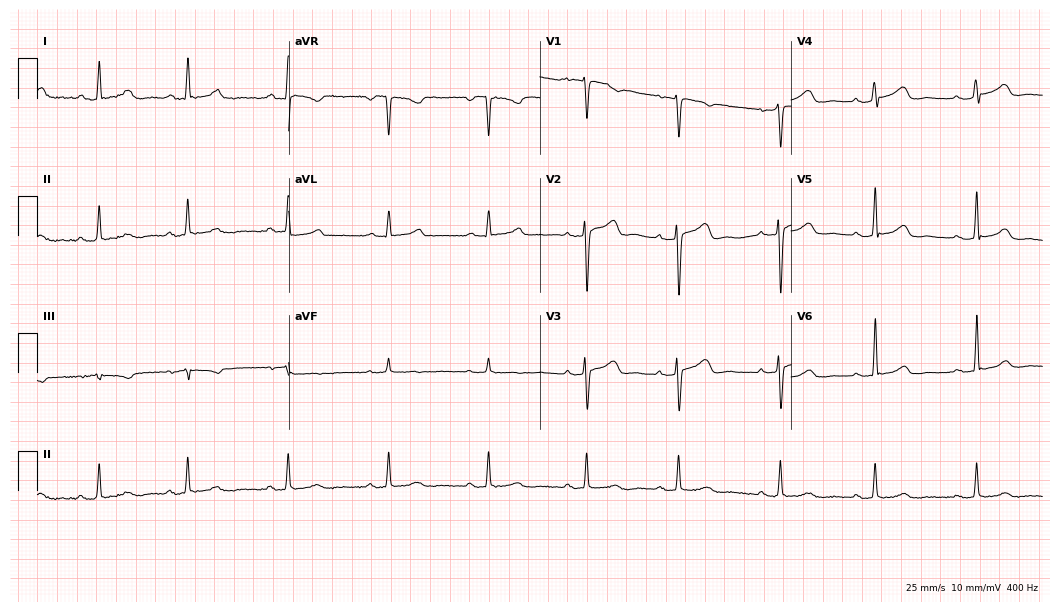
ECG (10.2-second recording at 400 Hz) — a female patient, 44 years old. Screened for six findings — first-degree AV block, right bundle branch block, left bundle branch block, sinus bradycardia, atrial fibrillation, sinus tachycardia — none is recorded. Only these six findings were labelled.